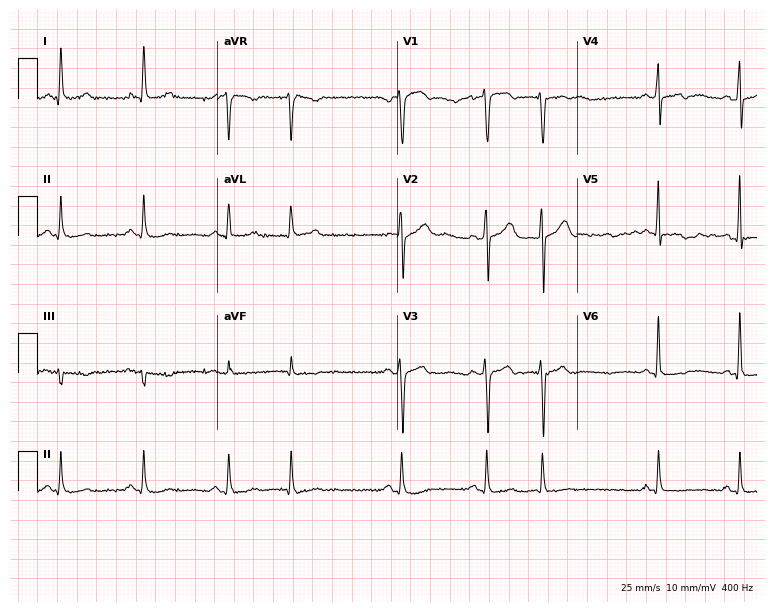
Electrocardiogram, a male patient, 53 years old. Of the six screened findings (first-degree AV block, right bundle branch block (RBBB), left bundle branch block (LBBB), sinus bradycardia, atrial fibrillation (AF), sinus tachycardia), none is recorded. Only these six findings were labelled.